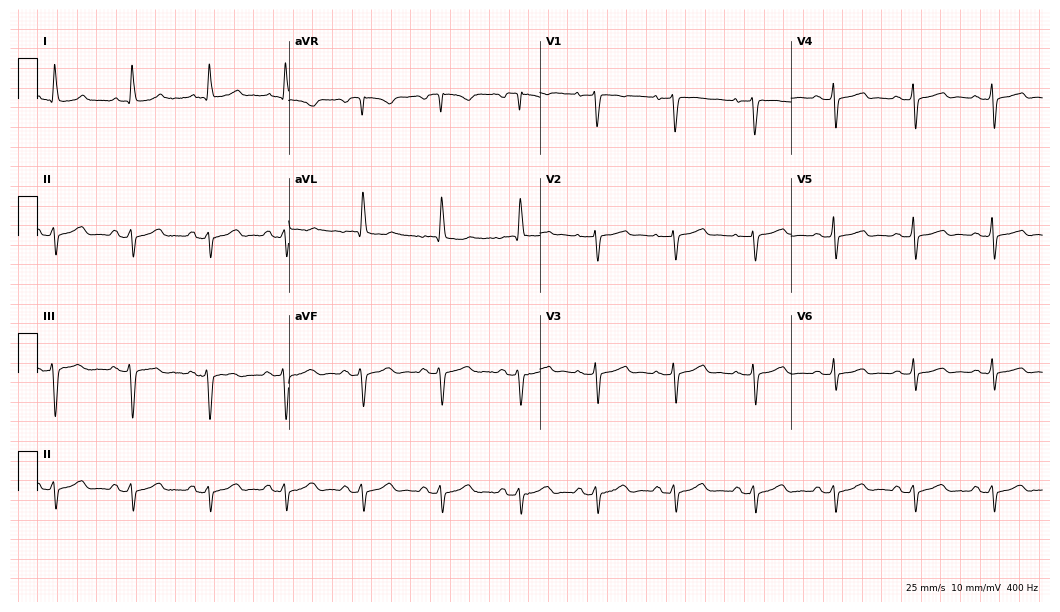
Resting 12-lead electrocardiogram (10.2-second recording at 400 Hz). Patient: a woman, 65 years old. None of these six findings is recorded: first-degree AV block, right bundle branch block, left bundle branch block, sinus bradycardia, atrial fibrillation, sinus tachycardia. Only these six findings were labelled.